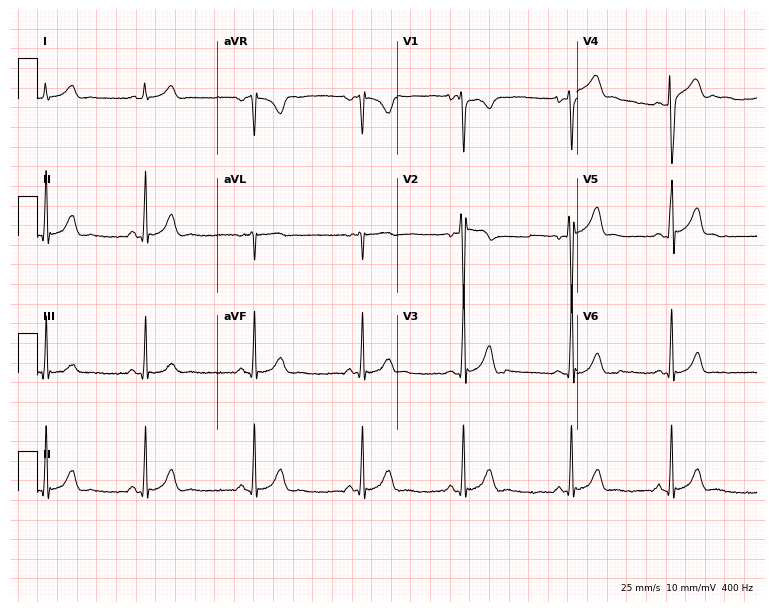
Resting 12-lead electrocardiogram (7.3-second recording at 400 Hz). Patient: a man, 18 years old. None of these six findings is recorded: first-degree AV block, right bundle branch block, left bundle branch block, sinus bradycardia, atrial fibrillation, sinus tachycardia. Findings outside these six are not listed.